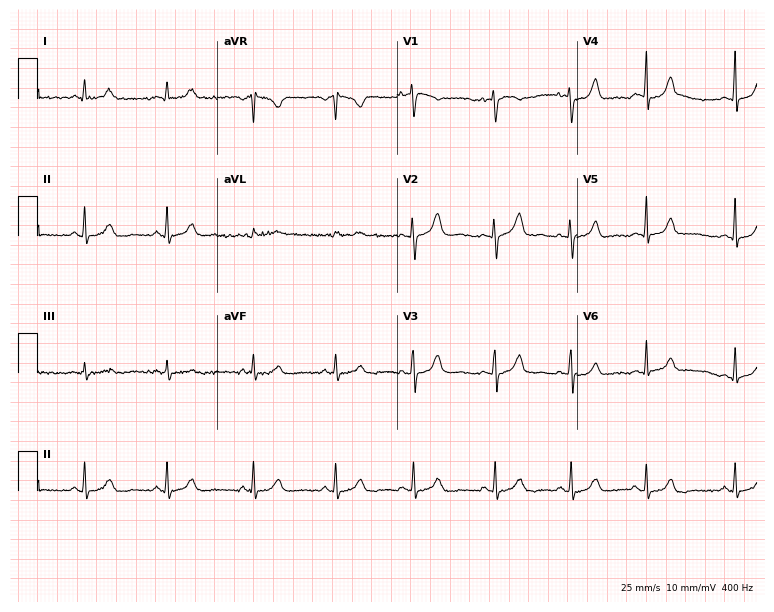
12-lead ECG from a 25-year-old female patient (7.3-second recording at 400 Hz). Recorded interpretation: within normal limits.